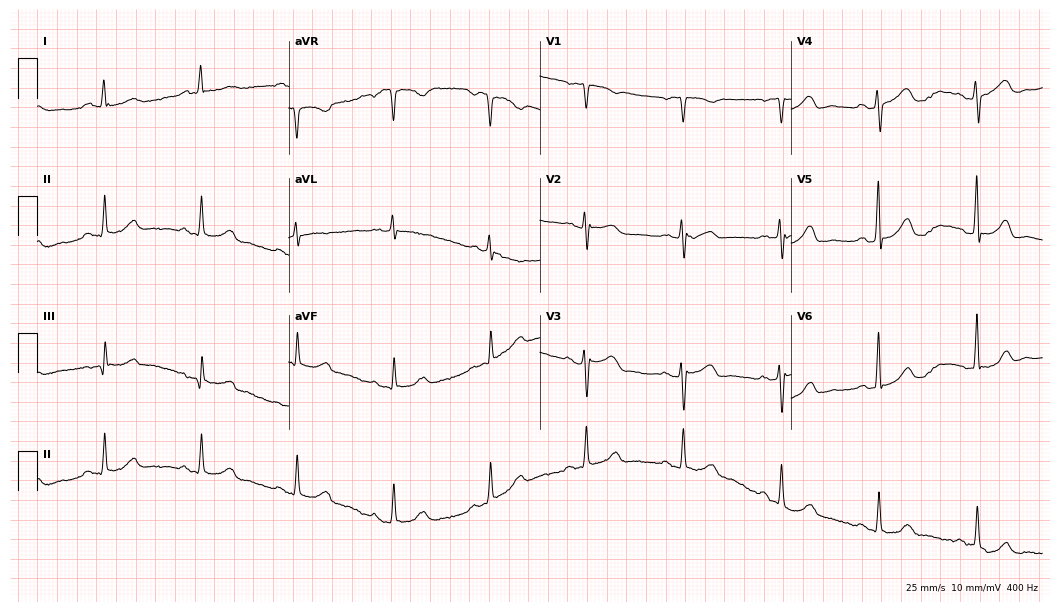
Standard 12-lead ECG recorded from a 70-year-old female (10.2-second recording at 400 Hz). Read as a normal ECG.